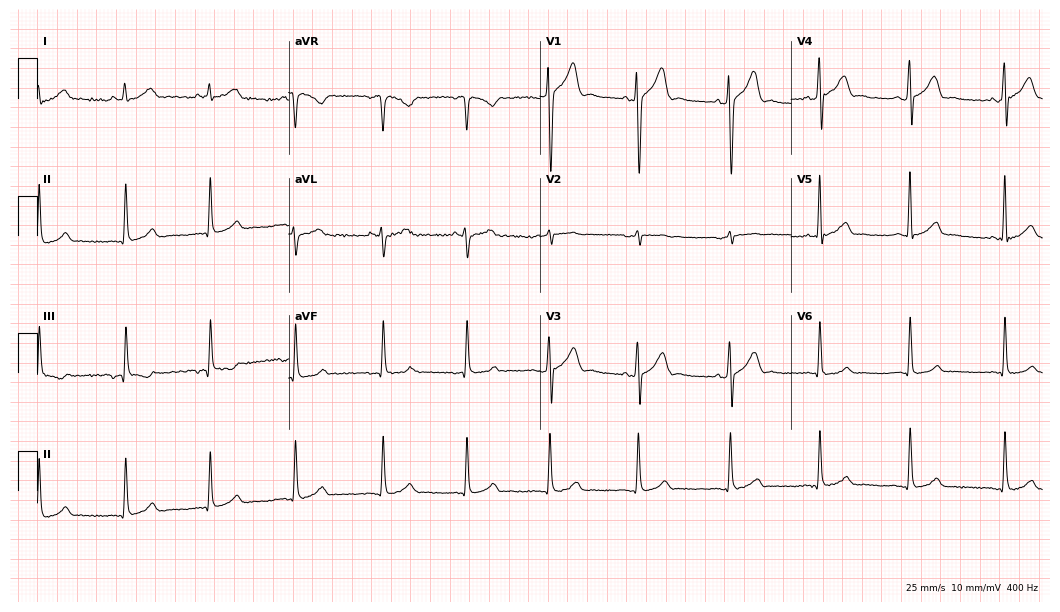
12-lead ECG from a male patient, 26 years old (10.2-second recording at 400 Hz). No first-degree AV block, right bundle branch block, left bundle branch block, sinus bradycardia, atrial fibrillation or sinus tachycardia recorded for this tracing.